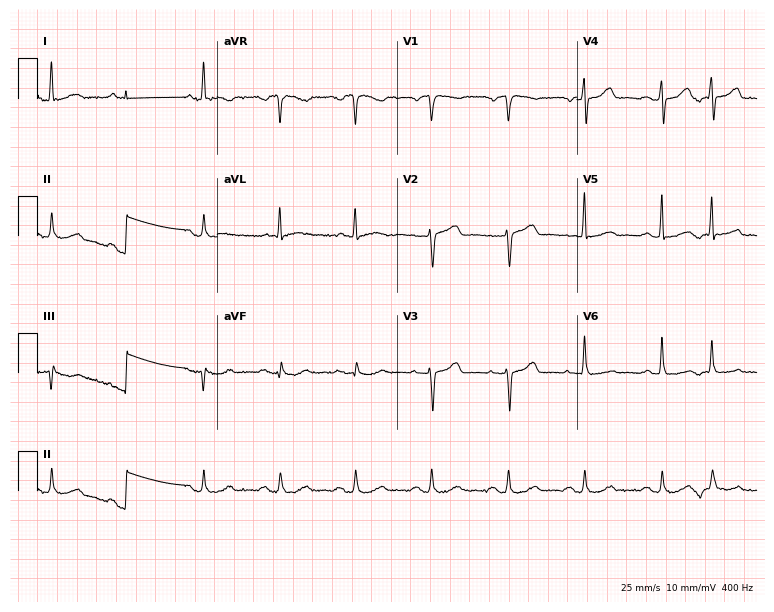
12-lead ECG (7.3-second recording at 400 Hz) from a 61-year-old female patient. Labelled as a normal ECG.